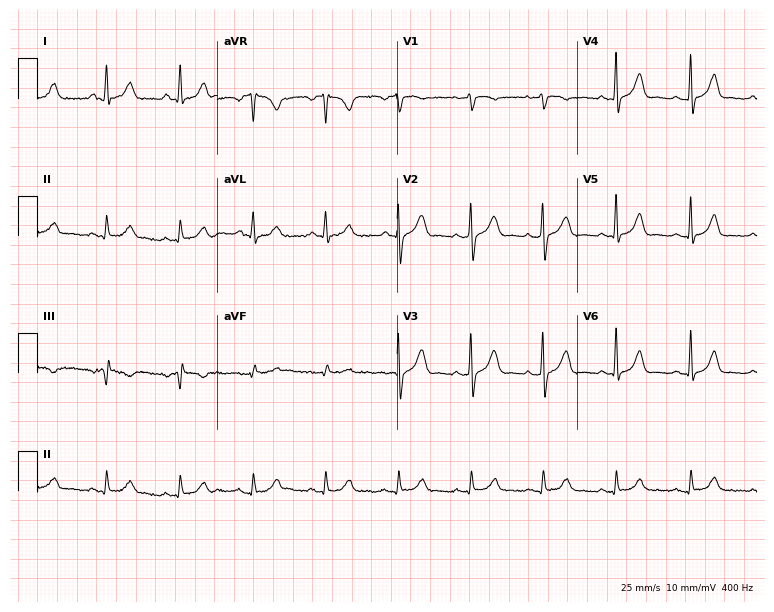
12-lead ECG from a male patient, 47 years old. Recorded interpretation: within normal limits.